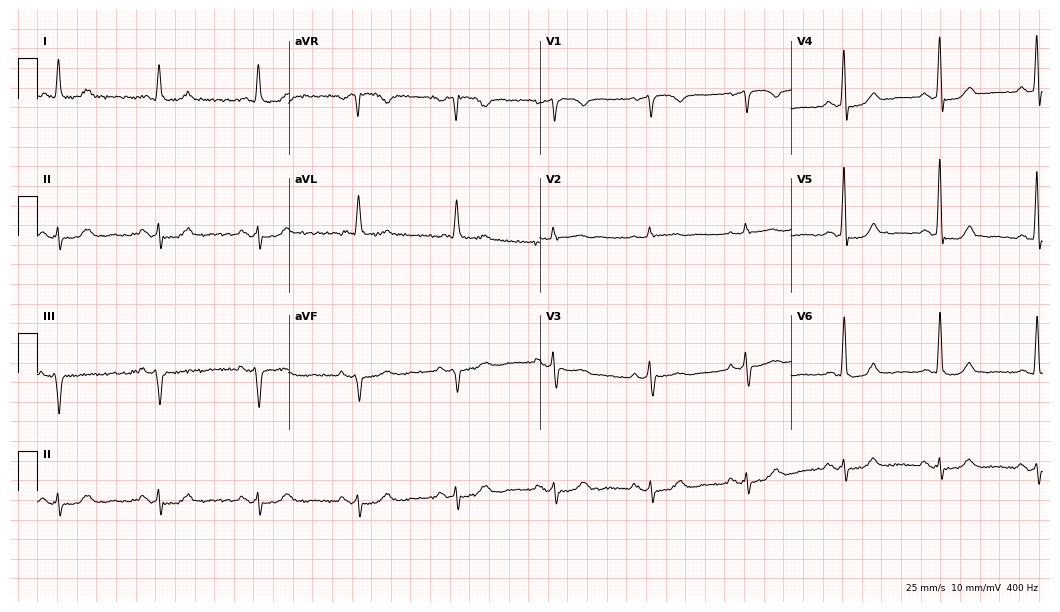
12-lead ECG from a 76-year-old male (10.2-second recording at 400 Hz). No first-degree AV block, right bundle branch block (RBBB), left bundle branch block (LBBB), sinus bradycardia, atrial fibrillation (AF) or sinus tachycardia recorded for this tracing. Only these six findings were labelled.